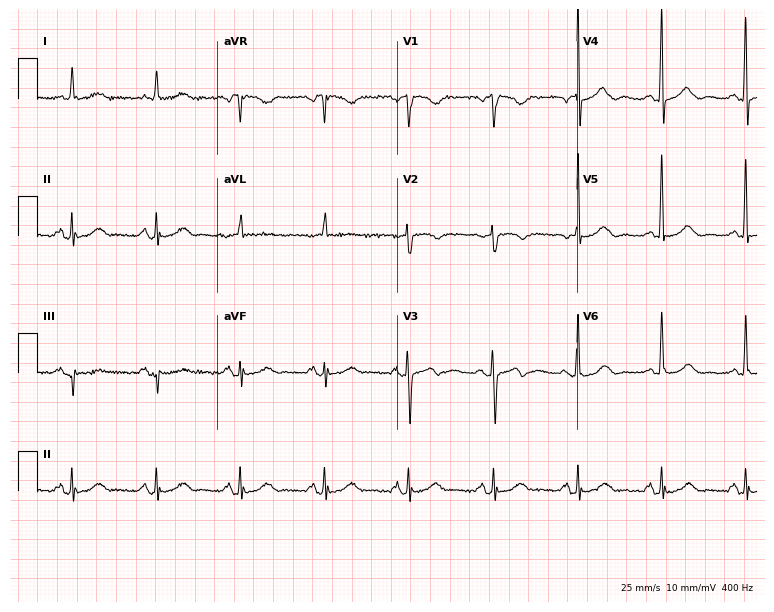
12-lead ECG (7.3-second recording at 400 Hz) from an 82-year-old woman. Screened for six findings — first-degree AV block, right bundle branch block (RBBB), left bundle branch block (LBBB), sinus bradycardia, atrial fibrillation (AF), sinus tachycardia — none is recorded. Only these six findings were labelled.